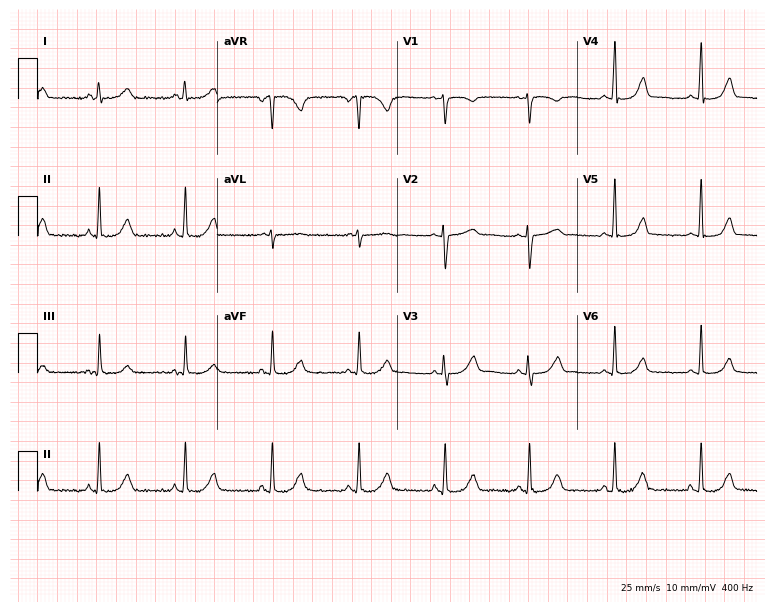
Standard 12-lead ECG recorded from a 46-year-old woman (7.3-second recording at 400 Hz). Read as a normal ECG.